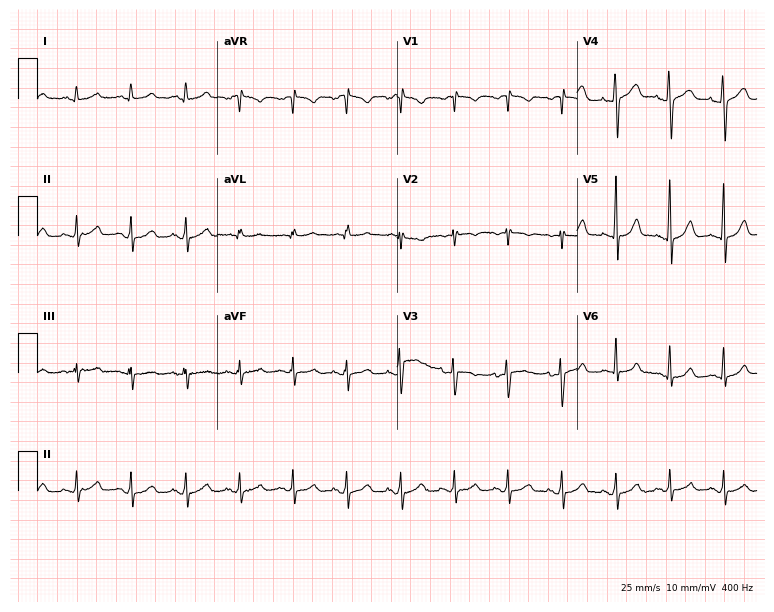
Resting 12-lead electrocardiogram (7.3-second recording at 400 Hz). Patient: a 24-year-old female. None of these six findings is recorded: first-degree AV block, right bundle branch block (RBBB), left bundle branch block (LBBB), sinus bradycardia, atrial fibrillation (AF), sinus tachycardia. Other findings, if any, are not listed.